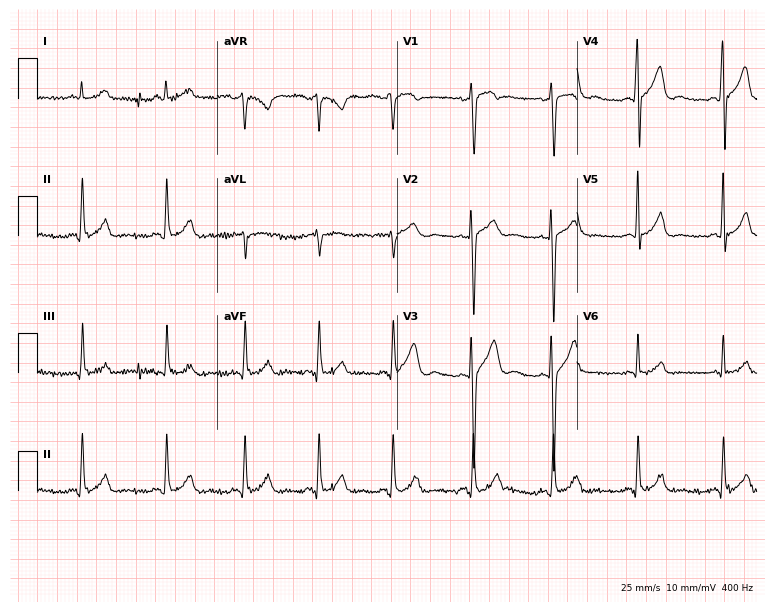
Resting 12-lead electrocardiogram (7.3-second recording at 400 Hz). Patient: a male, 19 years old. None of these six findings is recorded: first-degree AV block, right bundle branch block, left bundle branch block, sinus bradycardia, atrial fibrillation, sinus tachycardia.